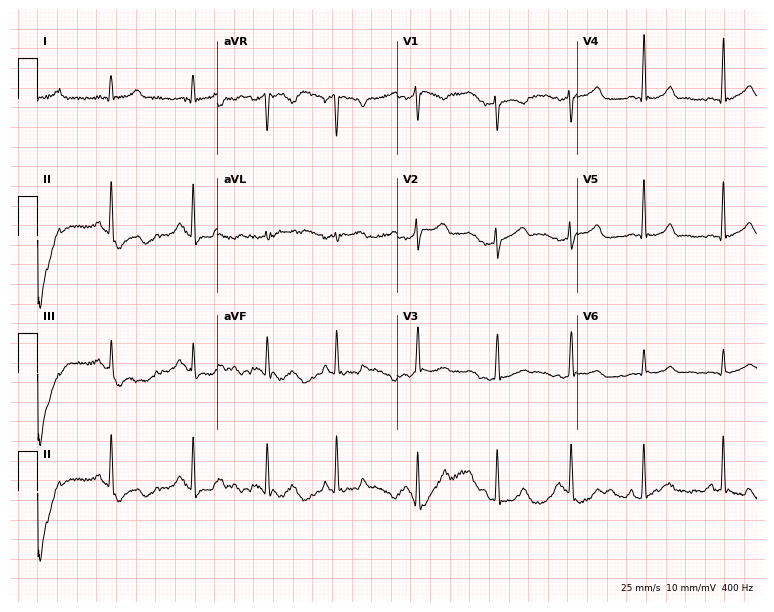
ECG — a 23-year-old woman. Labelled as a normal ECG.